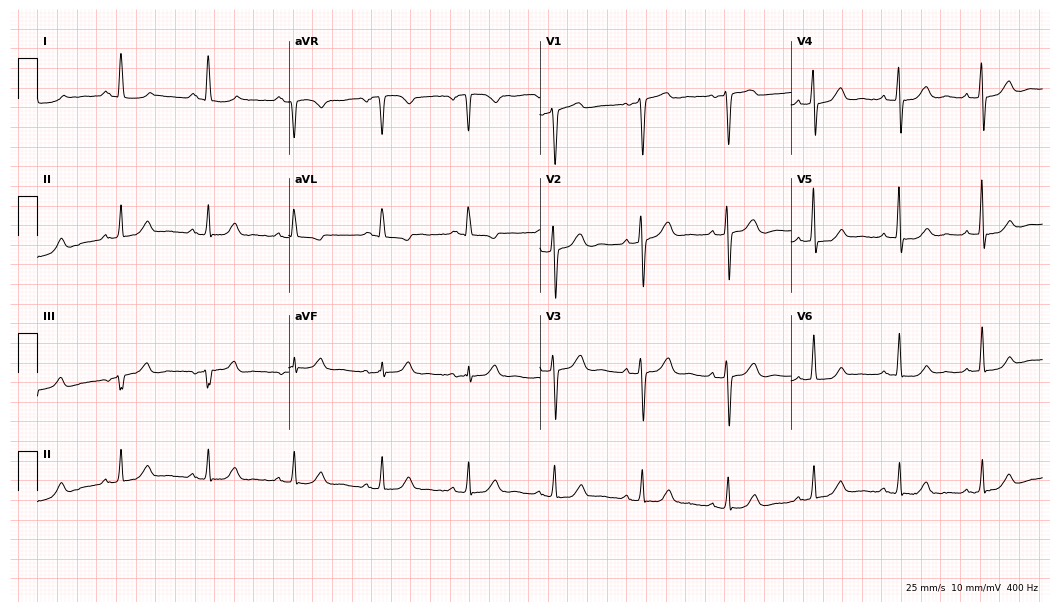
Standard 12-lead ECG recorded from a 67-year-old female (10.2-second recording at 400 Hz). None of these six findings is recorded: first-degree AV block, right bundle branch block (RBBB), left bundle branch block (LBBB), sinus bradycardia, atrial fibrillation (AF), sinus tachycardia.